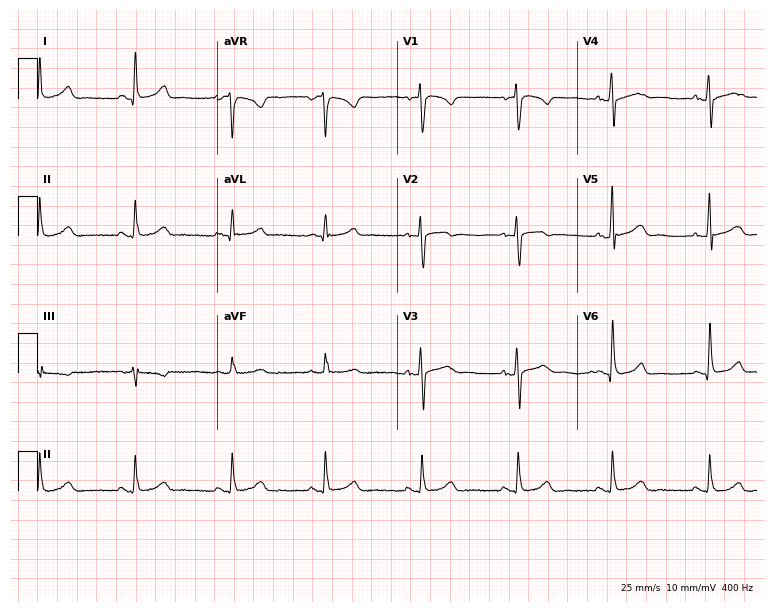
Electrocardiogram, a 63-year-old female patient. Overall reading on record: normal ECG.